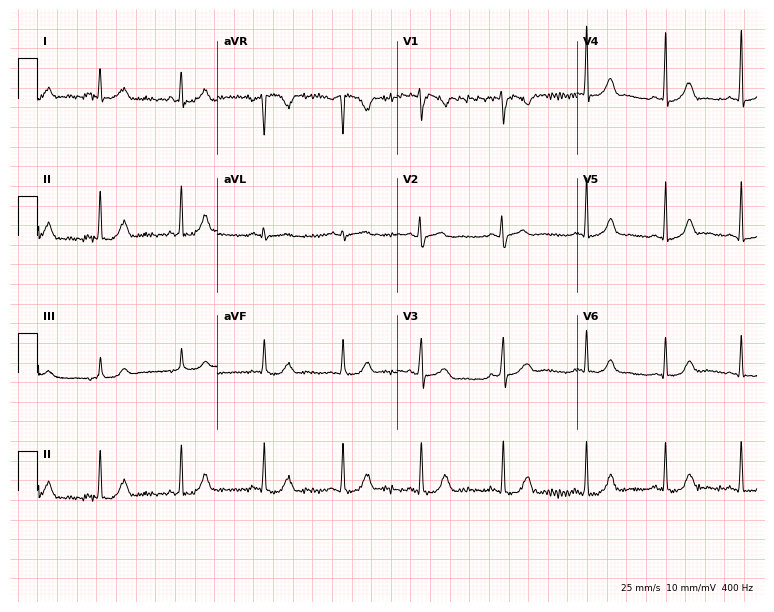
Standard 12-lead ECG recorded from a woman, 17 years old. Read as a normal ECG.